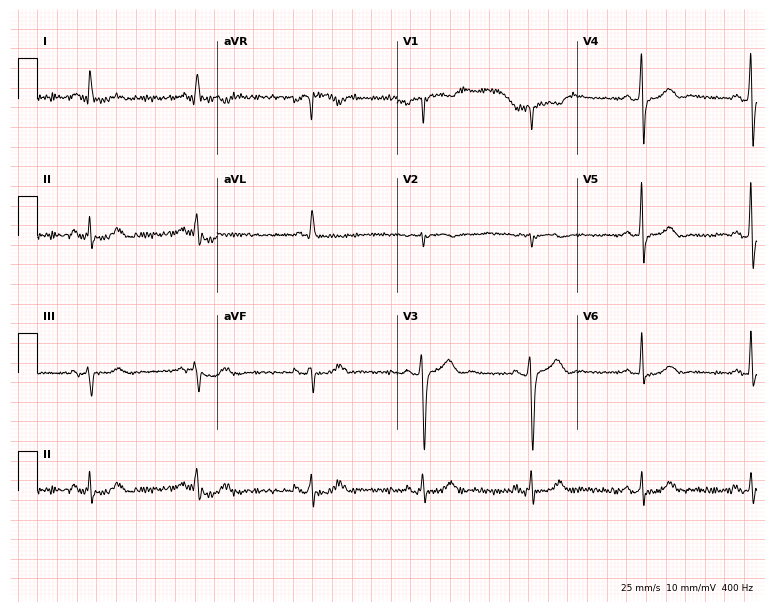
Standard 12-lead ECG recorded from a 68-year-old male patient (7.3-second recording at 400 Hz). None of these six findings is recorded: first-degree AV block, right bundle branch block, left bundle branch block, sinus bradycardia, atrial fibrillation, sinus tachycardia.